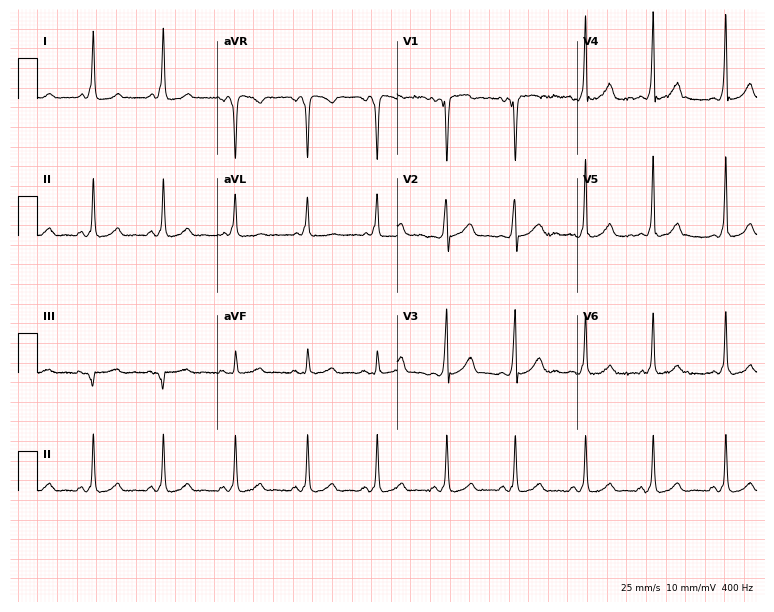
Resting 12-lead electrocardiogram (7.3-second recording at 400 Hz). Patient: a female, 29 years old. None of these six findings is recorded: first-degree AV block, right bundle branch block, left bundle branch block, sinus bradycardia, atrial fibrillation, sinus tachycardia. Other findings, if any, are not listed.